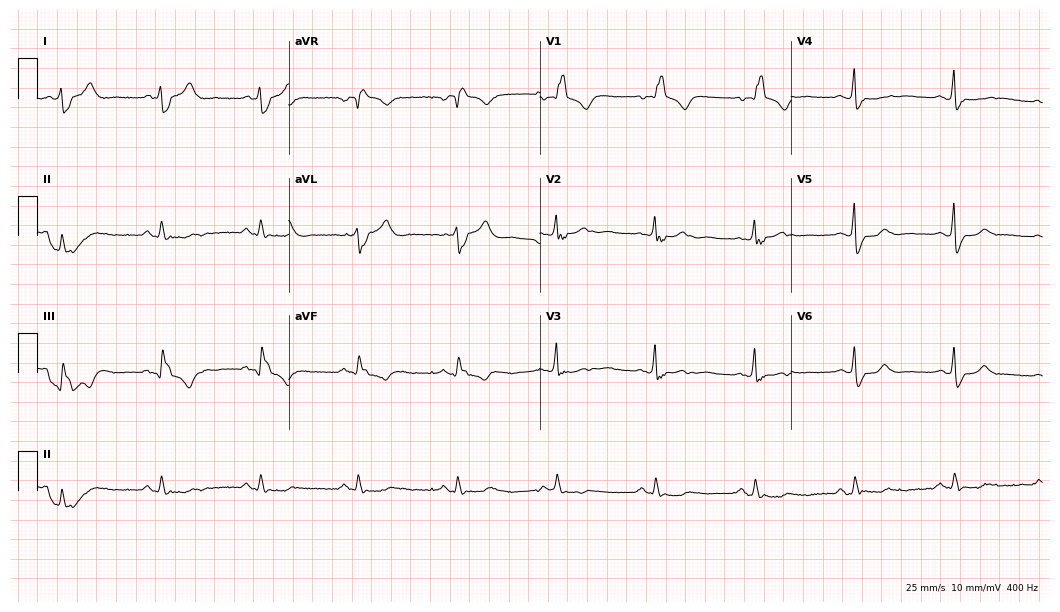
ECG — a male, 79 years old. Findings include right bundle branch block.